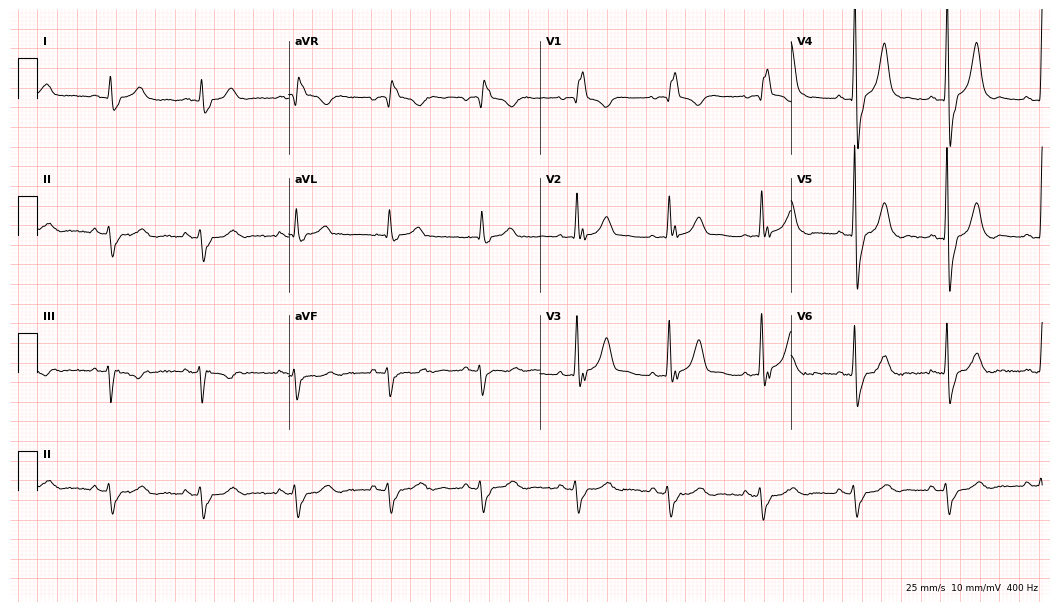
12-lead ECG (10.2-second recording at 400 Hz) from a 65-year-old male. Findings include right bundle branch block.